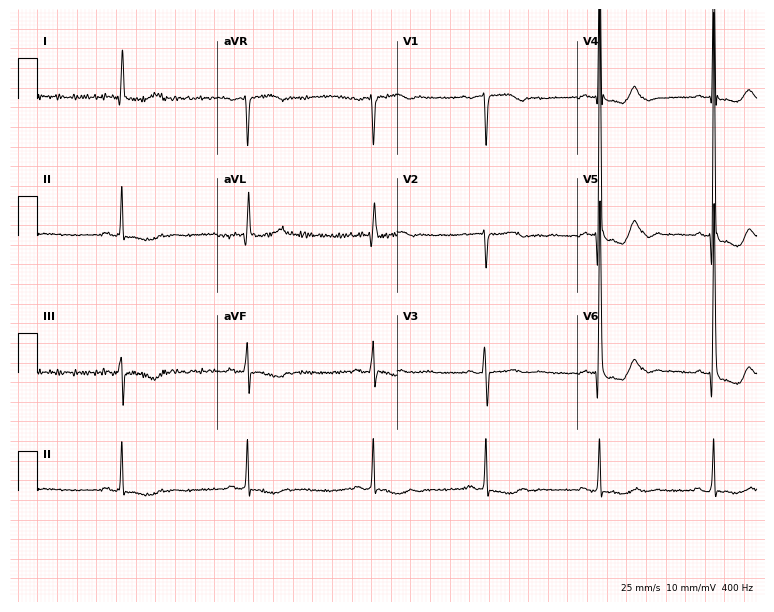
12-lead ECG (7.3-second recording at 400 Hz) from a female, 63 years old. Screened for six findings — first-degree AV block, right bundle branch block, left bundle branch block, sinus bradycardia, atrial fibrillation, sinus tachycardia — none is recorded. Other findings, if any, are not listed.